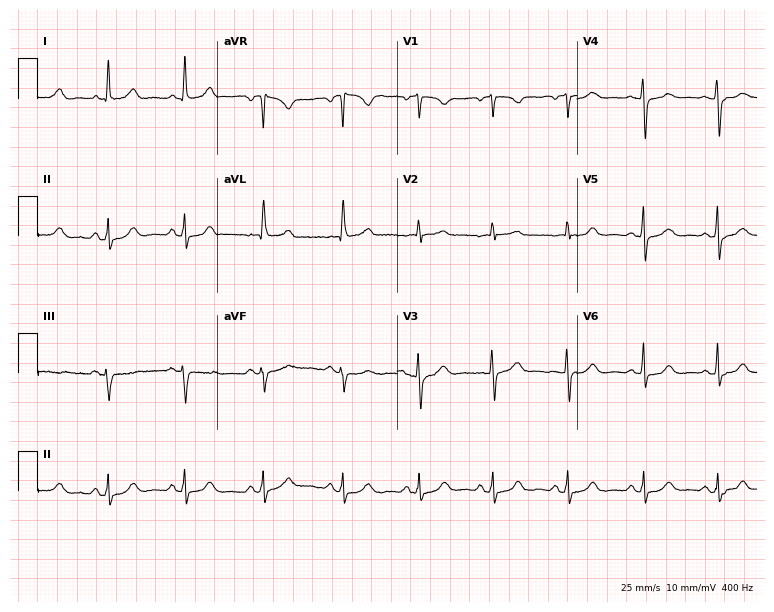
12-lead ECG from a female, 65 years old. Labelled as a normal ECG.